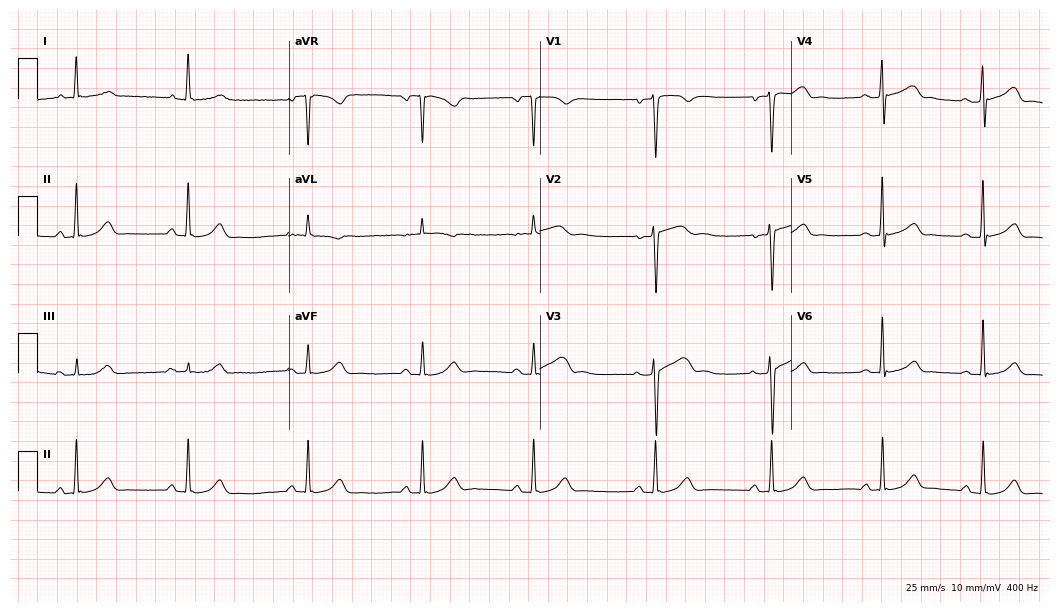
12-lead ECG (10.2-second recording at 400 Hz) from a woman, 50 years old. Labelled as a normal ECG.